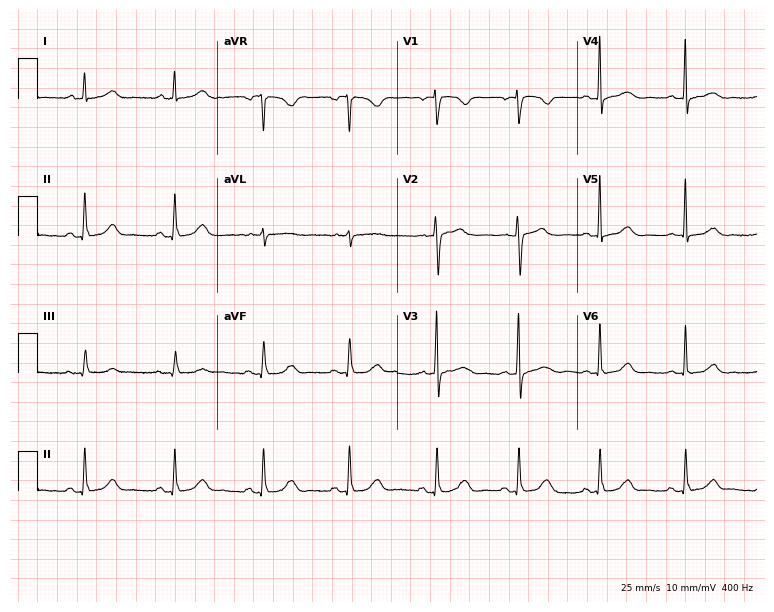
12-lead ECG from a 53-year-old woman (7.3-second recording at 400 Hz). Recorded interpretation: within normal limits.